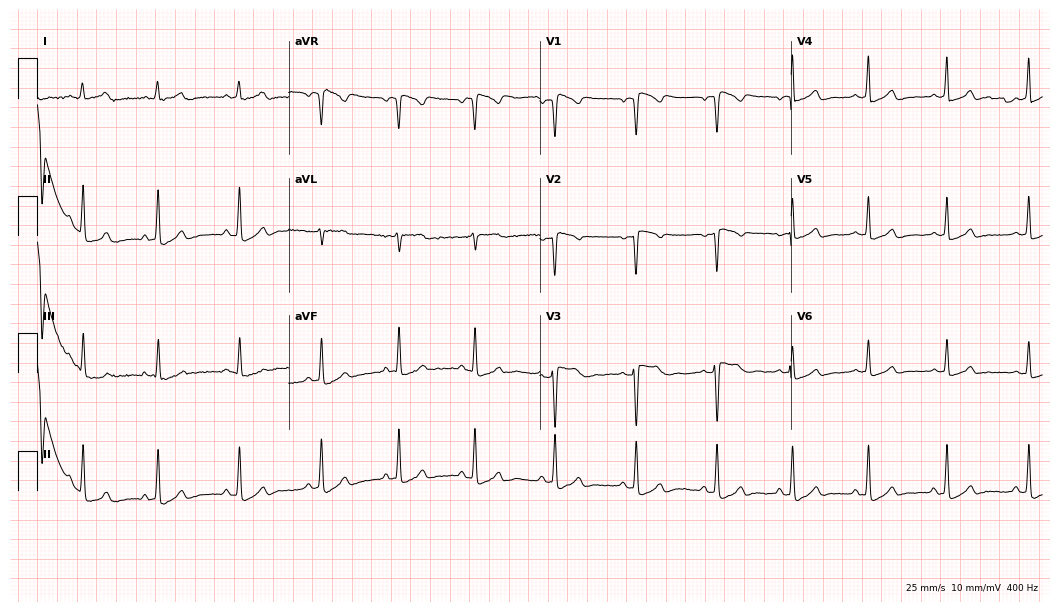
12-lead ECG from a 17-year-old woman (10.2-second recording at 400 Hz). Recorded interpretation: within normal limits.